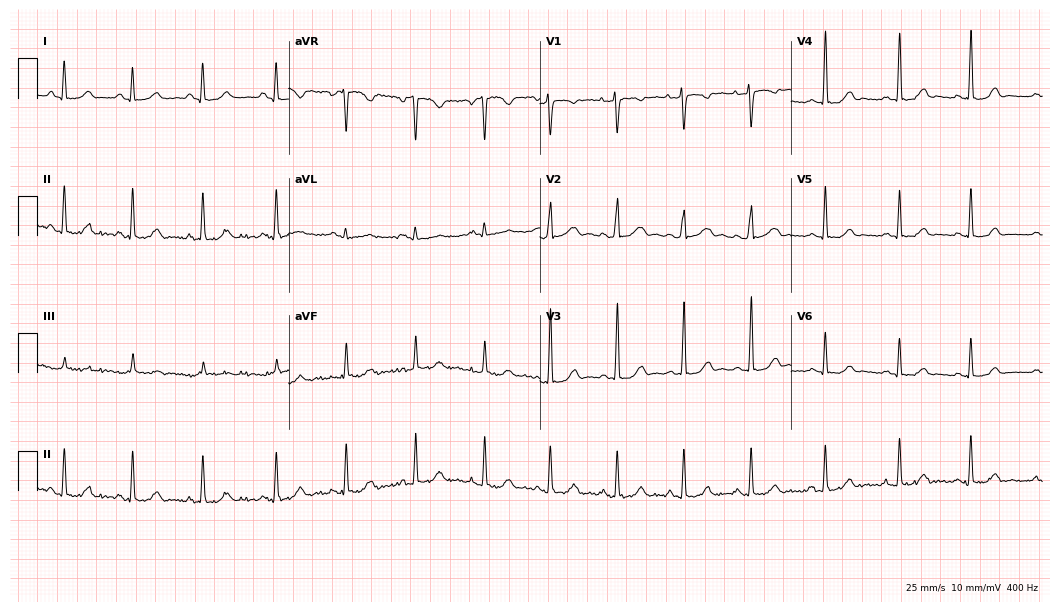
Electrocardiogram (10.2-second recording at 400 Hz), a female patient, 19 years old. Overall reading on record: normal ECG.